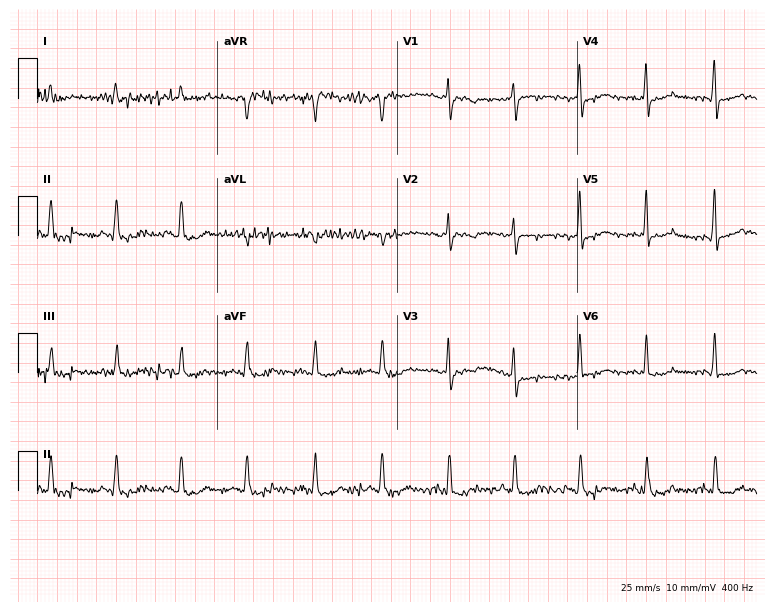
Resting 12-lead electrocardiogram (7.3-second recording at 400 Hz). Patient: a 73-year-old woman. None of these six findings is recorded: first-degree AV block, right bundle branch block, left bundle branch block, sinus bradycardia, atrial fibrillation, sinus tachycardia.